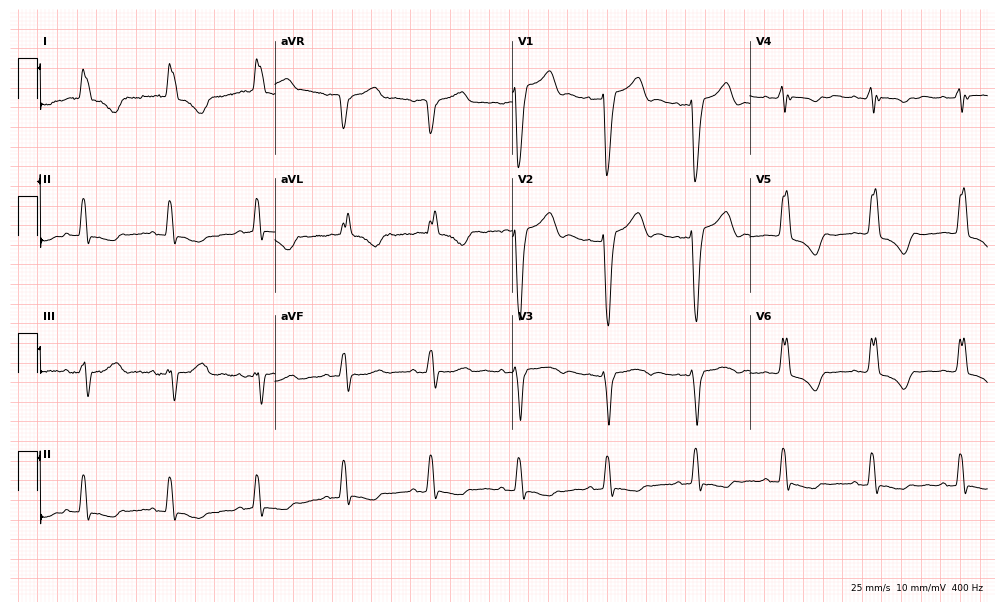
12-lead ECG from an 81-year-old female patient. Shows left bundle branch block (LBBB).